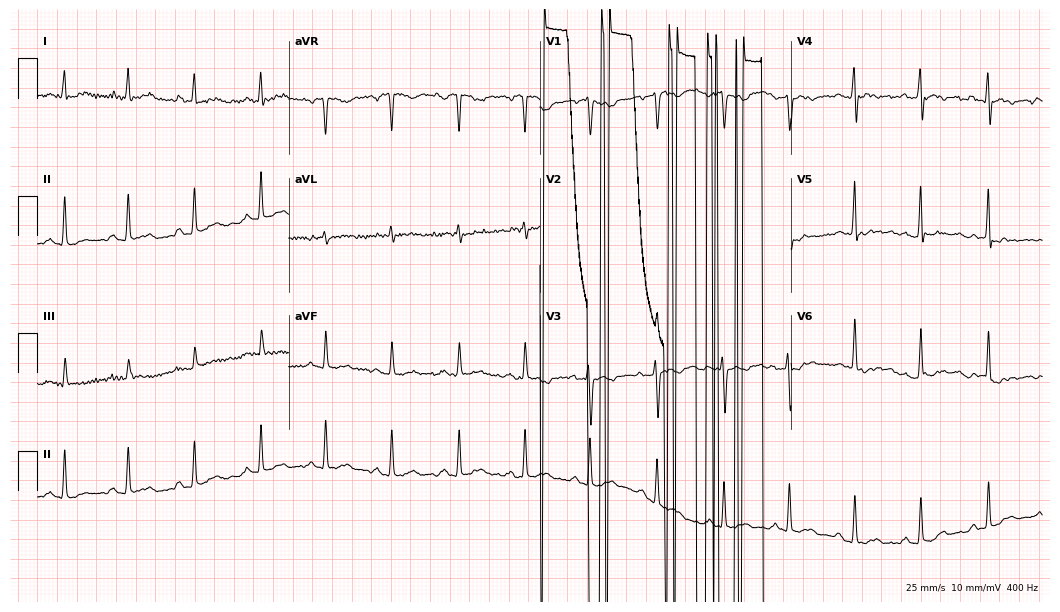
12-lead ECG from a female, 42 years old. No first-degree AV block, right bundle branch block, left bundle branch block, sinus bradycardia, atrial fibrillation or sinus tachycardia recorded for this tracing.